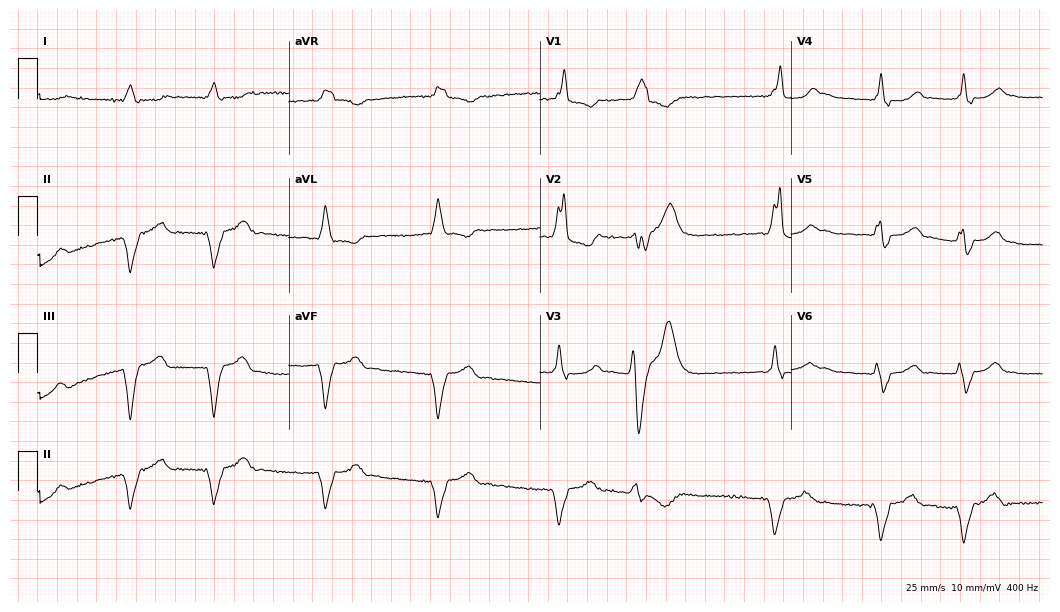
12-lead ECG from a male patient, 69 years old. Shows atrial fibrillation.